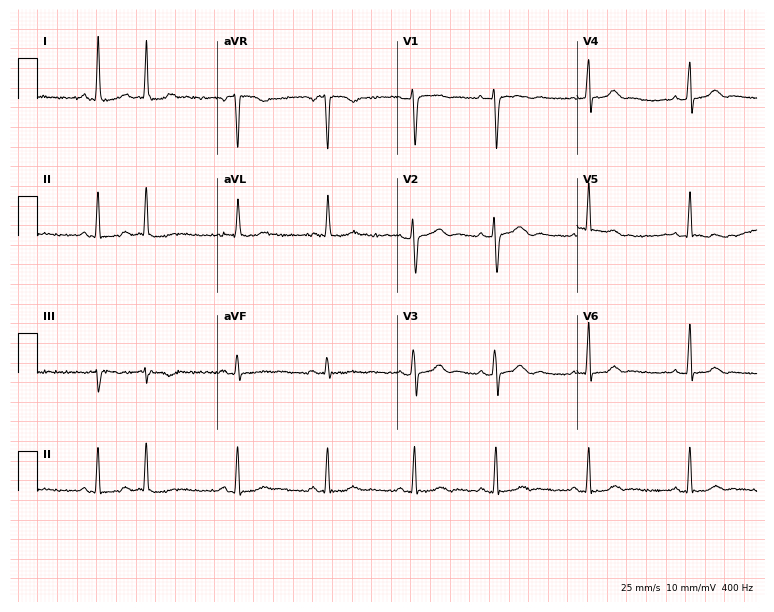
Standard 12-lead ECG recorded from a 35-year-old female patient (7.3-second recording at 400 Hz). None of these six findings is recorded: first-degree AV block, right bundle branch block (RBBB), left bundle branch block (LBBB), sinus bradycardia, atrial fibrillation (AF), sinus tachycardia. Other findings, if any, are not listed.